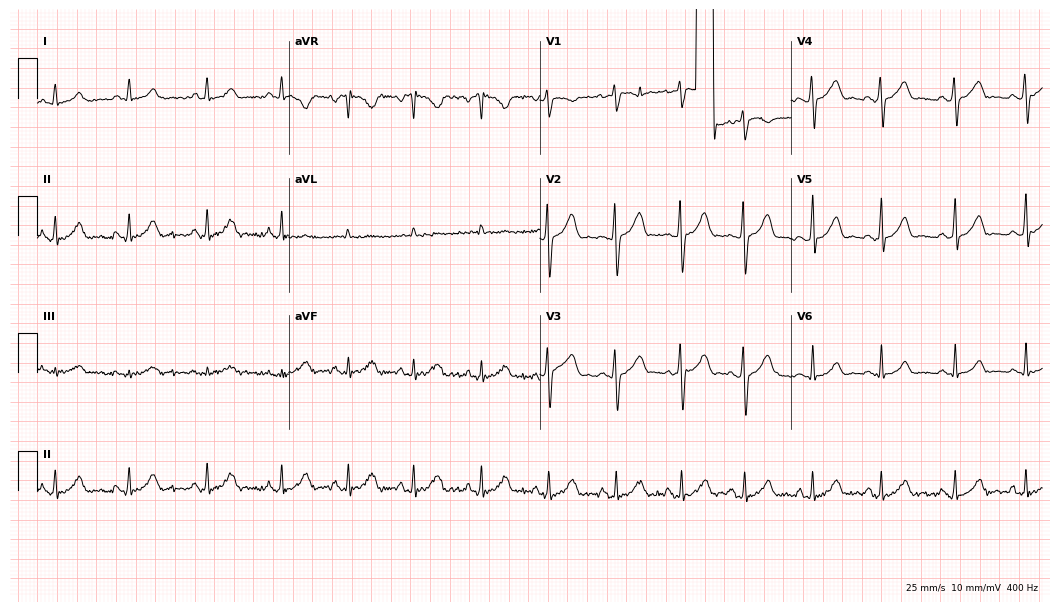
12-lead ECG (10.2-second recording at 400 Hz) from a 41-year-old woman. Labelled as a normal ECG.